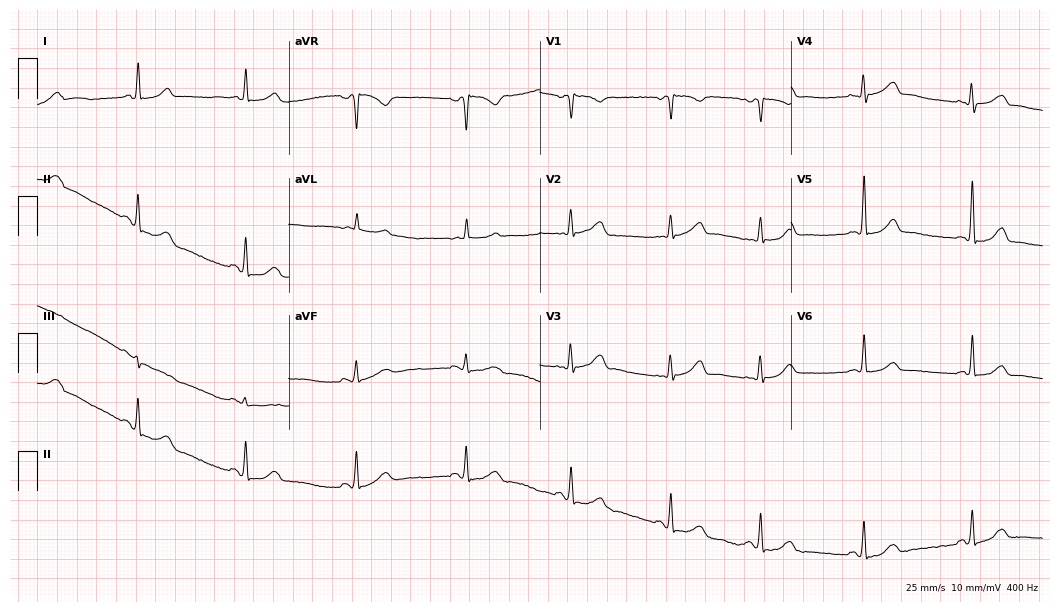
Resting 12-lead electrocardiogram (10.2-second recording at 400 Hz). Patient: a female, 59 years old. Read as a normal ECG.